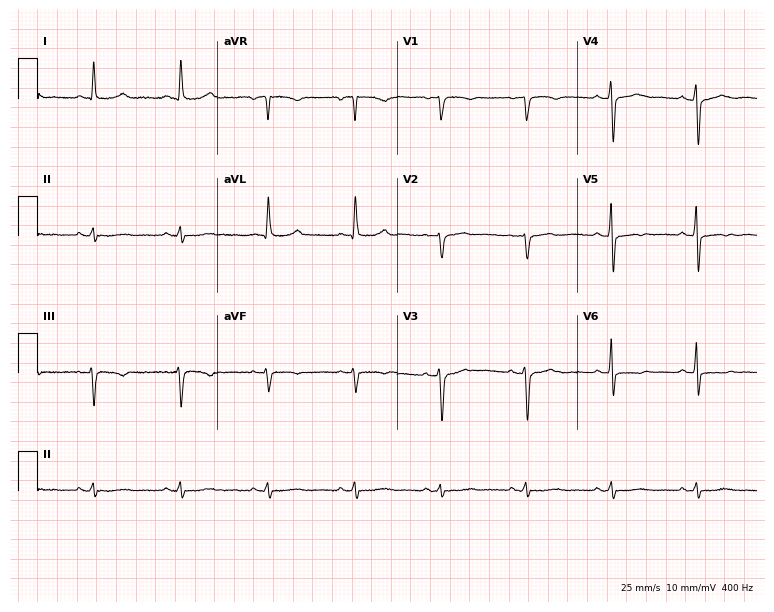
Standard 12-lead ECG recorded from a female, 58 years old. None of these six findings is recorded: first-degree AV block, right bundle branch block (RBBB), left bundle branch block (LBBB), sinus bradycardia, atrial fibrillation (AF), sinus tachycardia. Findings outside these six are not listed.